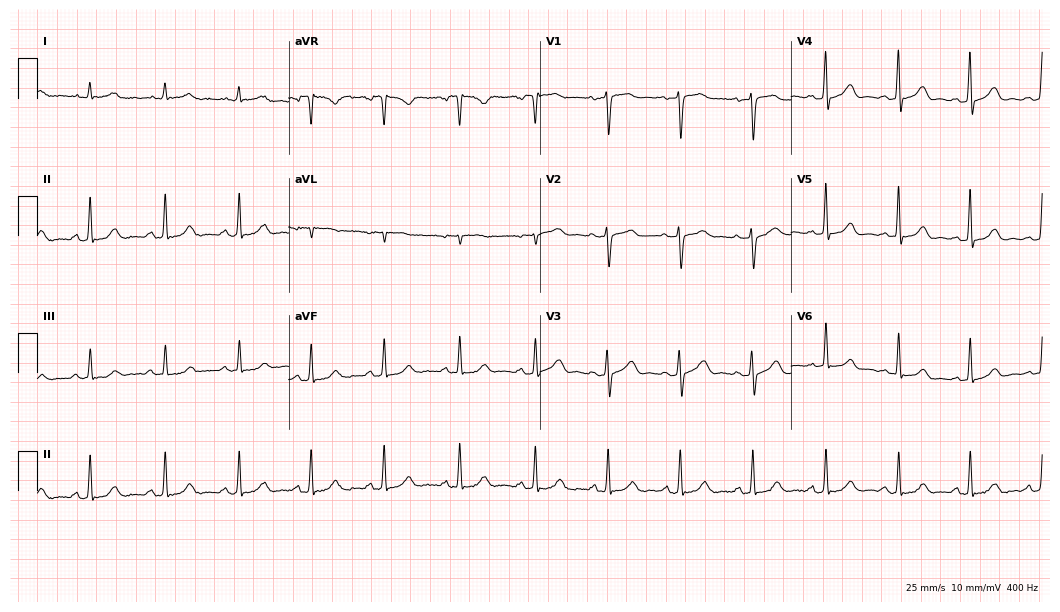
Electrocardiogram, a 55-year-old female patient. Overall reading on record: normal ECG.